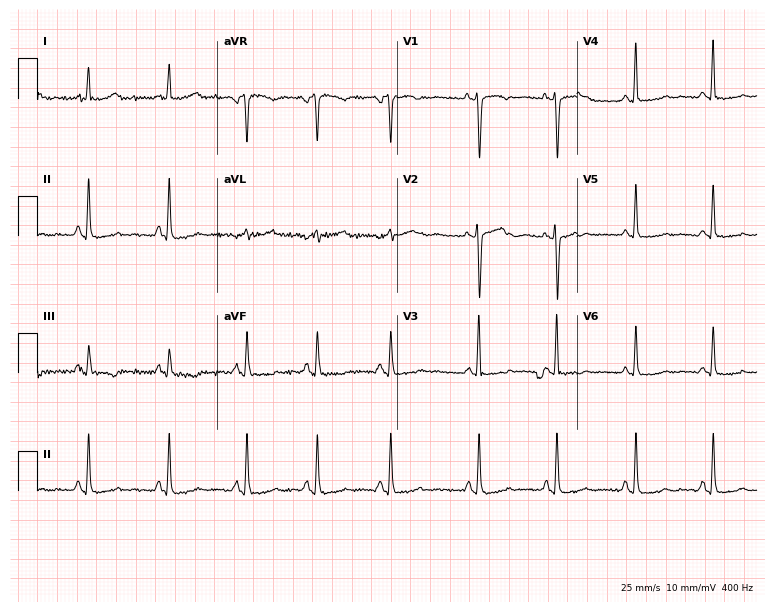
Resting 12-lead electrocardiogram. Patient: a woman, 32 years old. Read as a normal ECG.